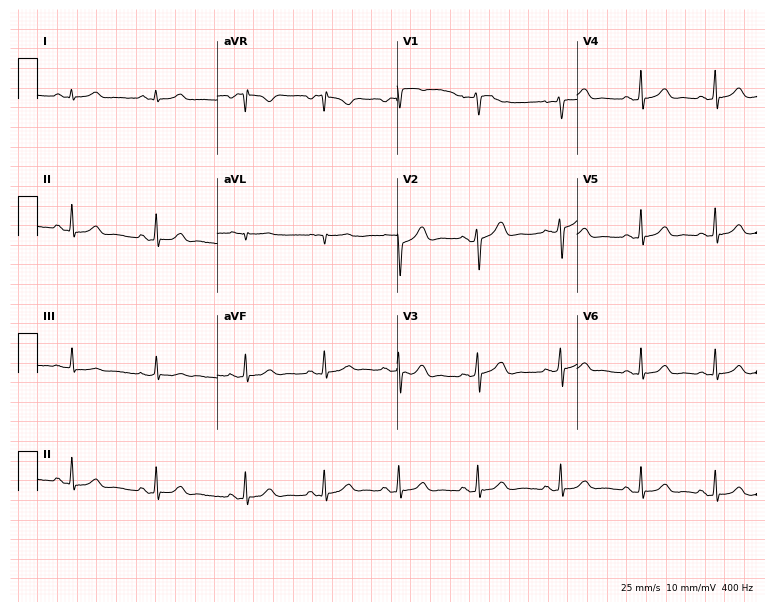
ECG (7.3-second recording at 400 Hz) — a female patient, 19 years old. Screened for six findings — first-degree AV block, right bundle branch block (RBBB), left bundle branch block (LBBB), sinus bradycardia, atrial fibrillation (AF), sinus tachycardia — none is recorded. Only these six findings were labelled.